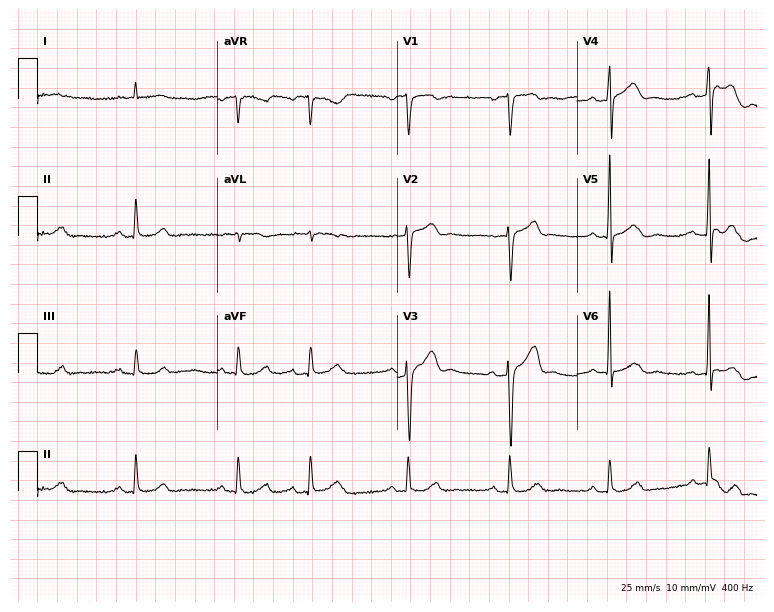
12-lead ECG (7.3-second recording at 400 Hz) from a 73-year-old man. Screened for six findings — first-degree AV block, right bundle branch block, left bundle branch block, sinus bradycardia, atrial fibrillation, sinus tachycardia — none is recorded. Findings outside these six are not listed.